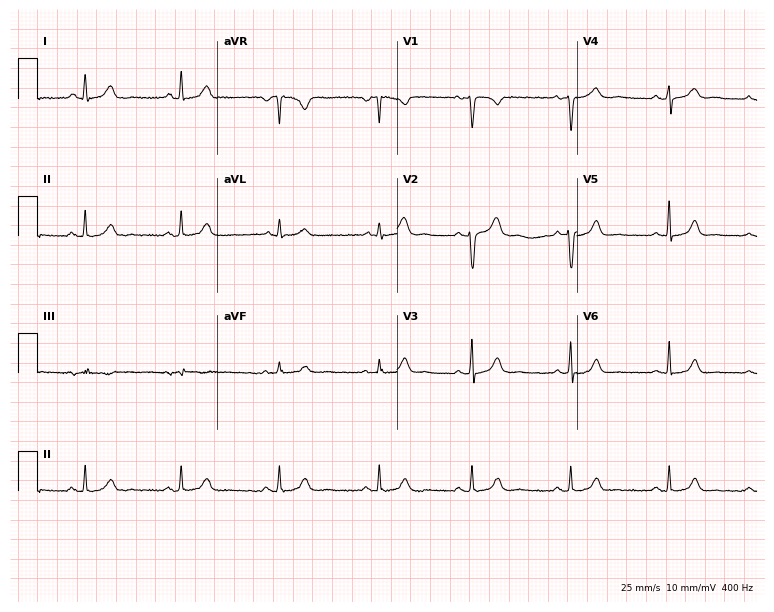
ECG — a 22-year-old woman. Labelled as a normal ECG.